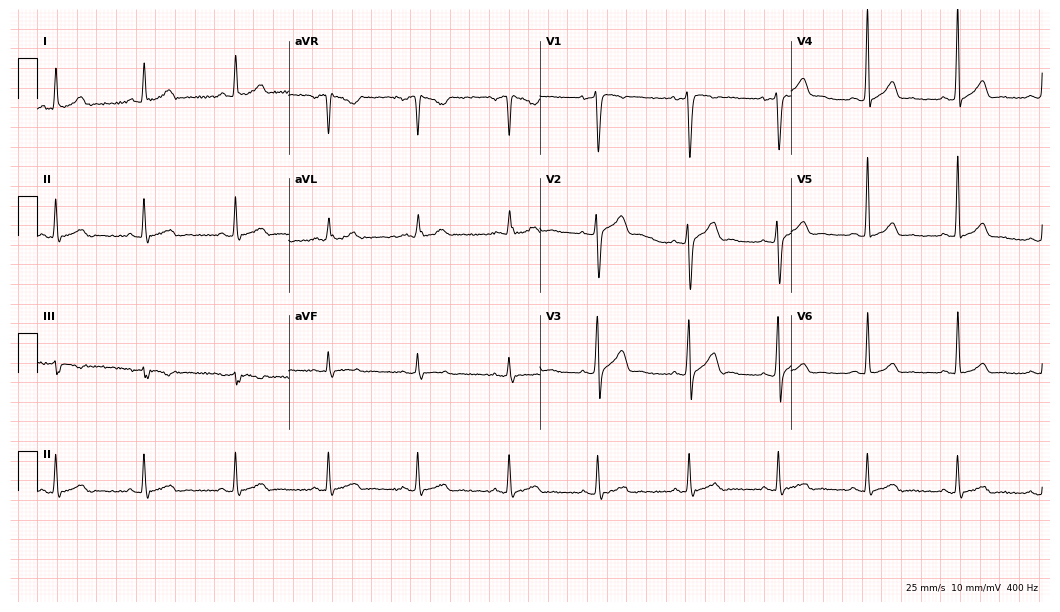
12-lead ECG from a man, 34 years old (10.2-second recording at 400 Hz). Recorded interpretation: within normal limits.